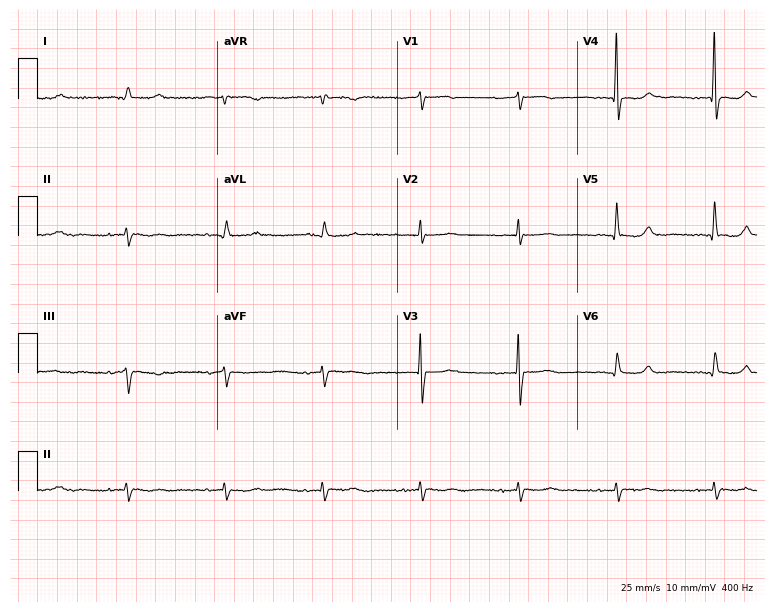
Standard 12-lead ECG recorded from a 77-year-old man. None of these six findings is recorded: first-degree AV block, right bundle branch block, left bundle branch block, sinus bradycardia, atrial fibrillation, sinus tachycardia. Only these six findings were labelled.